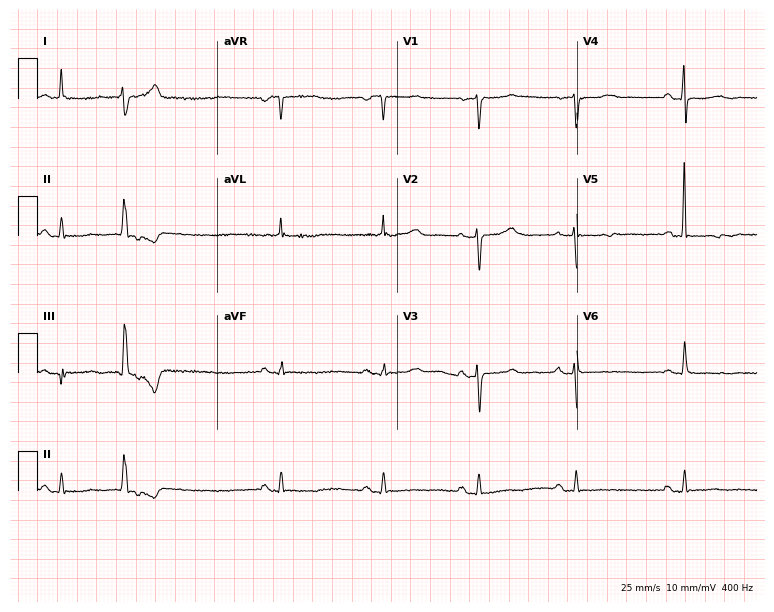
Resting 12-lead electrocardiogram. Patient: a female, 80 years old. None of these six findings is recorded: first-degree AV block, right bundle branch block, left bundle branch block, sinus bradycardia, atrial fibrillation, sinus tachycardia. Only these six findings were labelled.